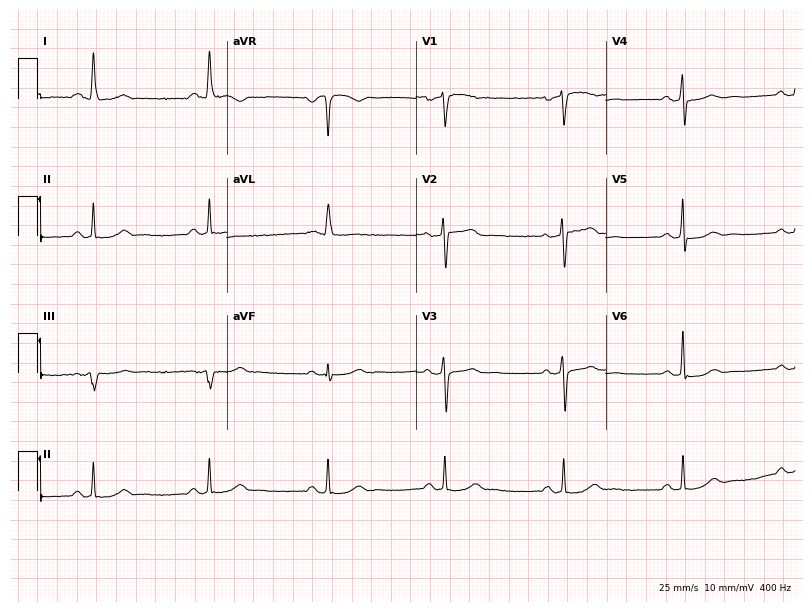
Electrocardiogram, a 51-year-old woman. Overall reading on record: normal ECG.